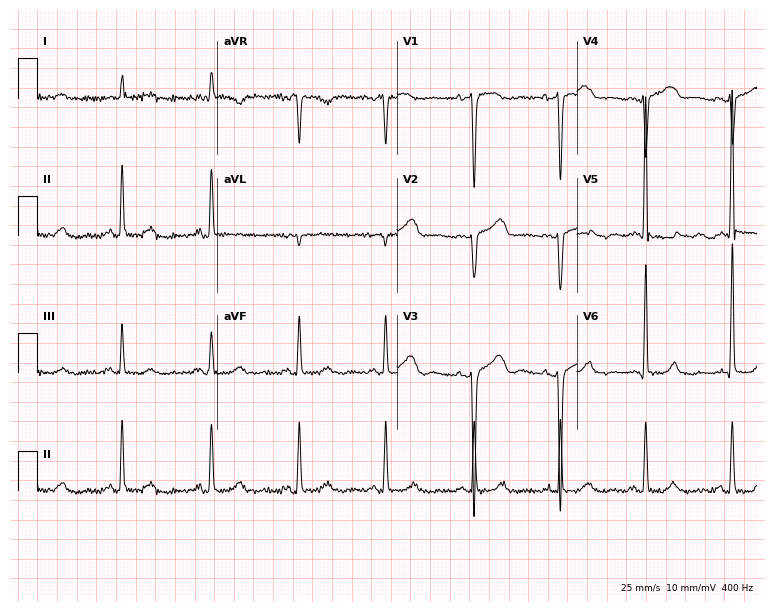
12-lead ECG from a female, 57 years old (7.3-second recording at 400 Hz). Recorded interpretation: within normal limits.